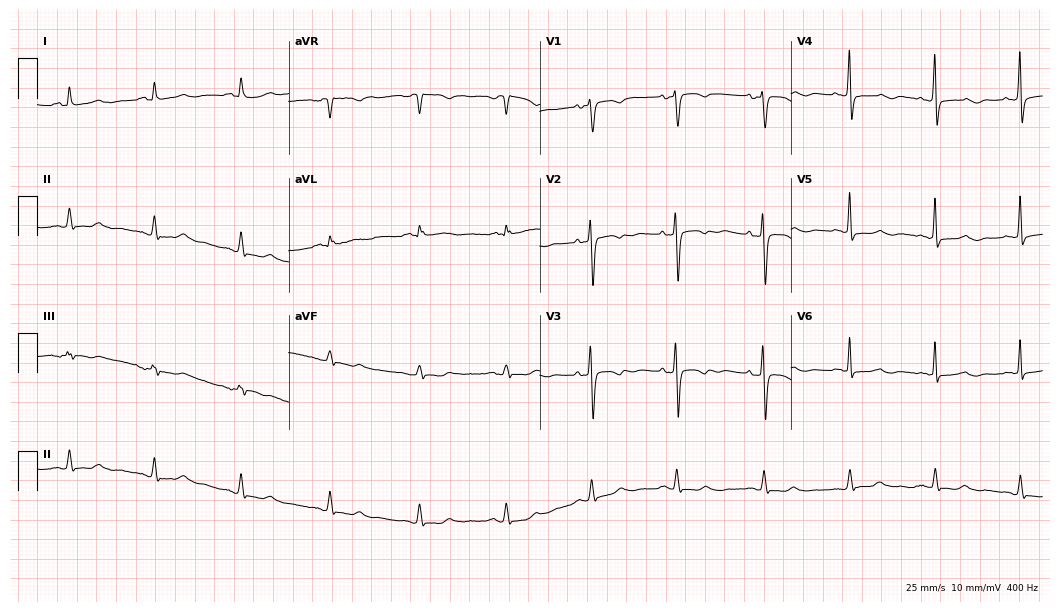
Electrocardiogram, a 54-year-old female. Of the six screened findings (first-degree AV block, right bundle branch block (RBBB), left bundle branch block (LBBB), sinus bradycardia, atrial fibrillation (AF), sinus tachycardia), none is recorded. Only these six findings were labelled.